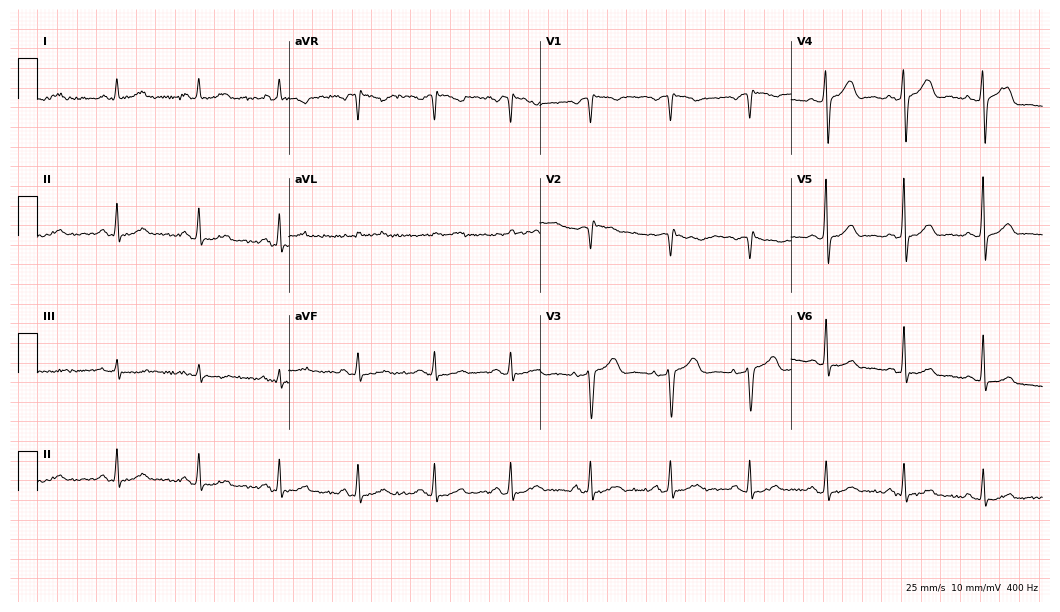
12-lead ECG from a 51-year-old female (10.2-second recording at 400 Hz). Recorded interpretation: within normal limits.